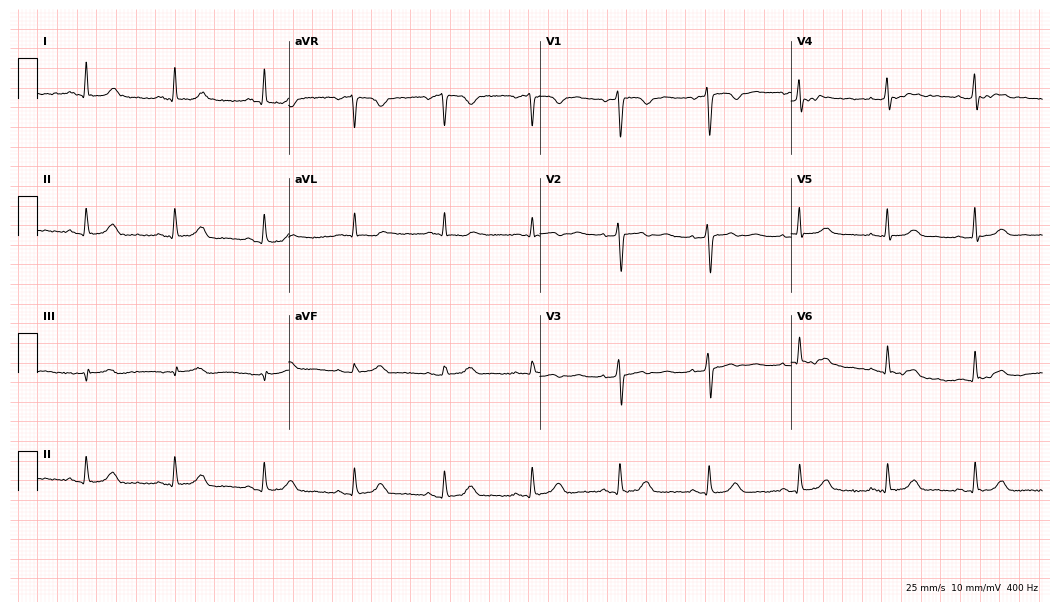
Electrocardiogram (10.2-second recording at 400 Hz), a 44-year-old woman. Overall reading on record: normal ECG.